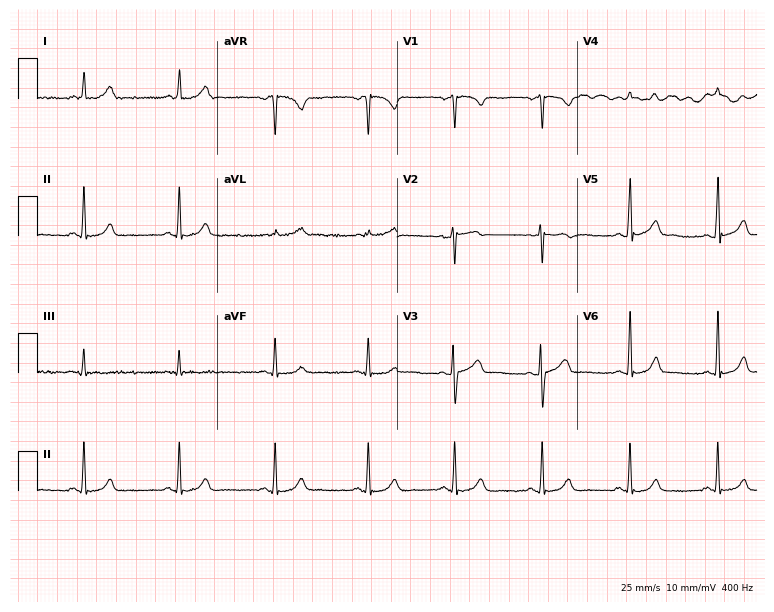
12-lead ECG from a 22-year-old female patient. Recorded interpretation: within normal limits.